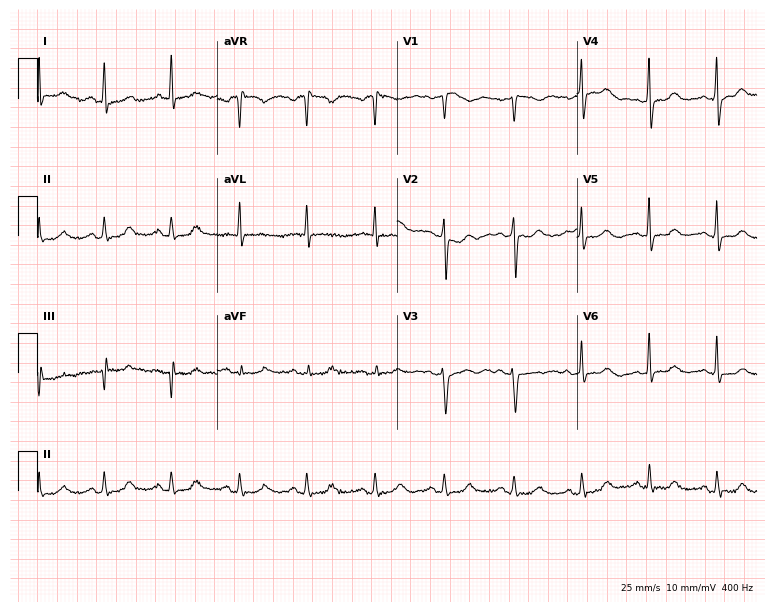
12-lead ECG from a female patient, 56 years old. Screened for six findings — first-degree AV block, right bundle branch block (RBBB), left bundle branch block (LBBB), sinus bradycardia, atrial fibrillation (AF), sinus tachycardia — none is recorded. Only these six findings were labelled.